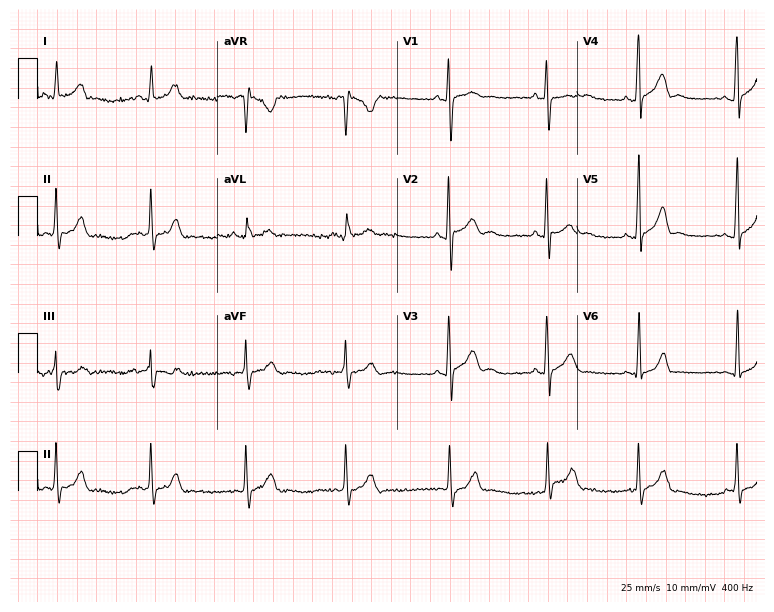
Electrocardiogram (7.3-second recording at 400 Hz), a man, 19 years old. Overall reading on record: normal ECG.